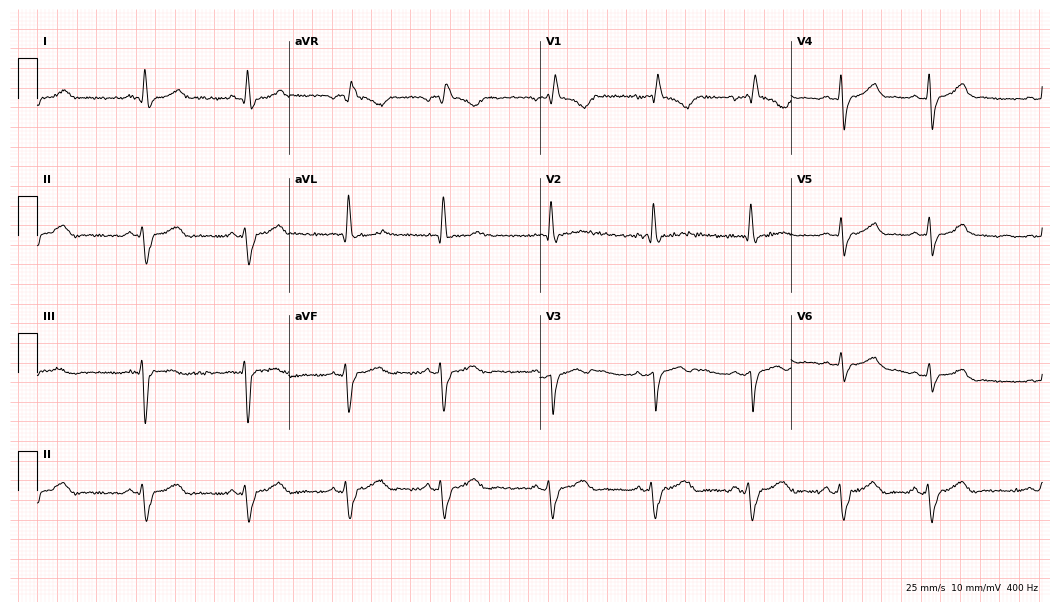
Resting 12-lead electrocardiogram (10.2-second recording at 400 Hz). Patient: a woman, 44 years old. The tracing shows right bundle branch block.